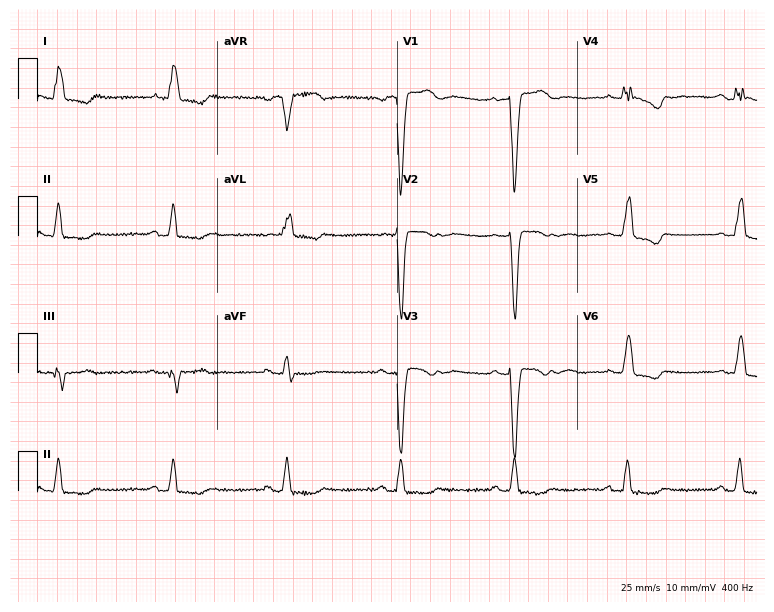
Resting 12-lead electrocardiogram (7.3-second recording at 400 Hz). Patient: a 76-year-old woman. The tracing shows left bundle branch block.